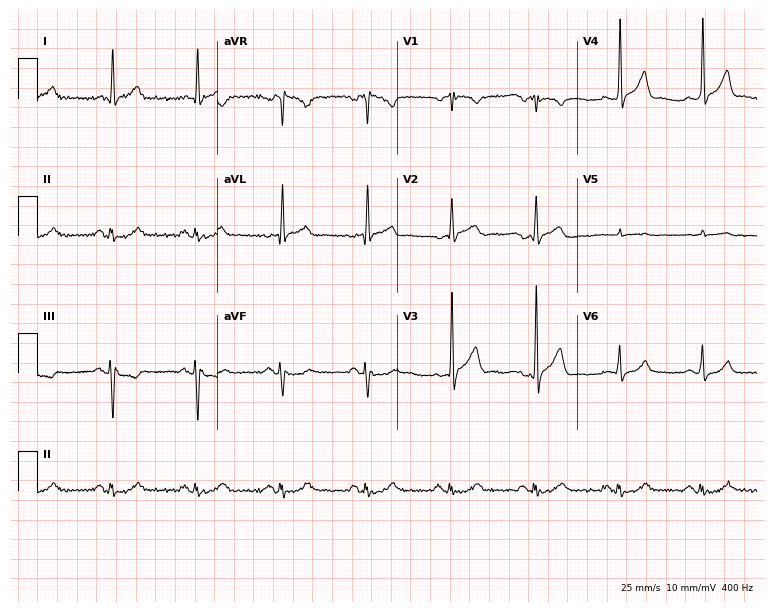
Resting 12-lead electrocardiogram (7.3-second recording at 400 Hz). Patient: an 80-year-old male. Read as a normal ECG.